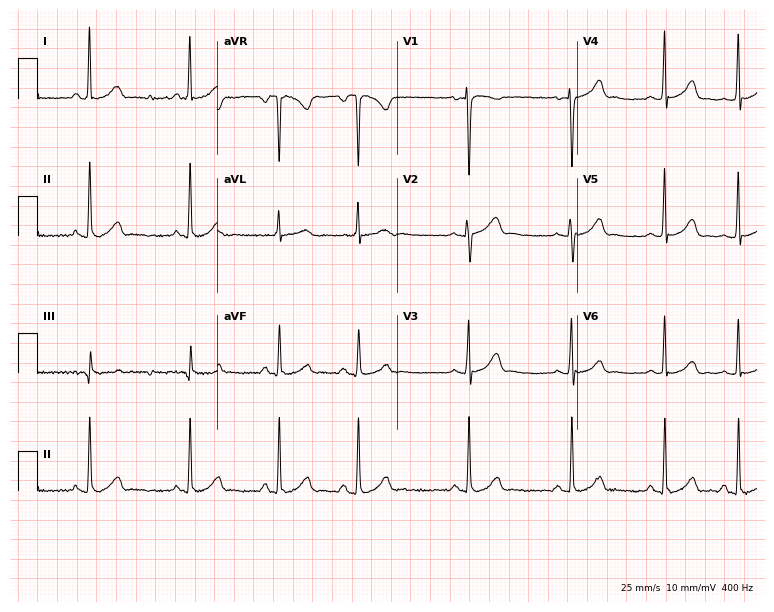
ECG — a woman, 18 years old. Screened for six findings — first-degree AV block, right bundle branch block, left bundle branch block, sinus bradycardia, atrial fibrillation, sinus tachycardia — none is recorded.